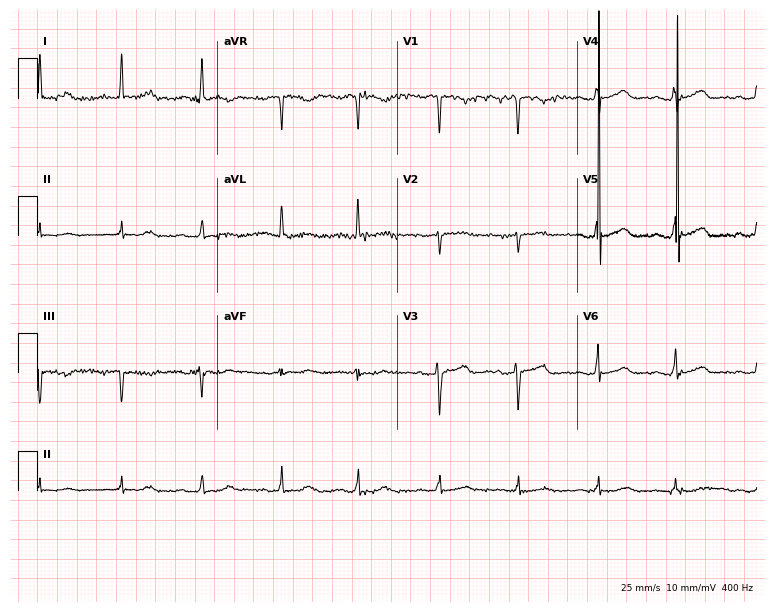
12-lead ECG from a woman, 66 years old. No first-degree AV block, right bundle branch block (RBBB), left bundle branch block (LBBB), sinus bradycardia, atrial fibrillation (AF) or sinus tachycardia recorded for this tracing. Only these six findings were labelled.